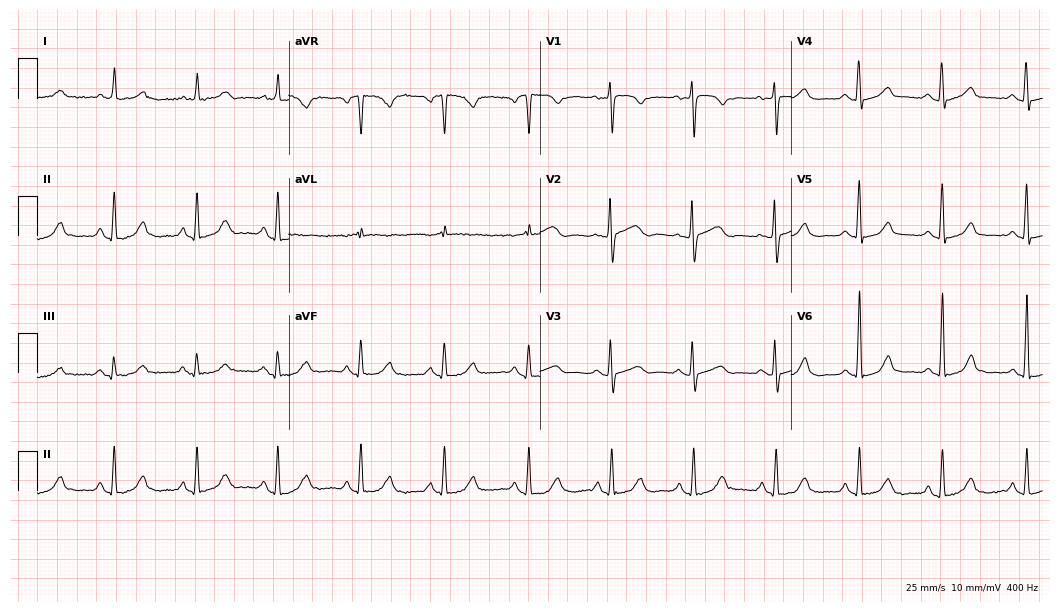
ECG — a female patient, 58 years old. Labelled as a normal ECG.